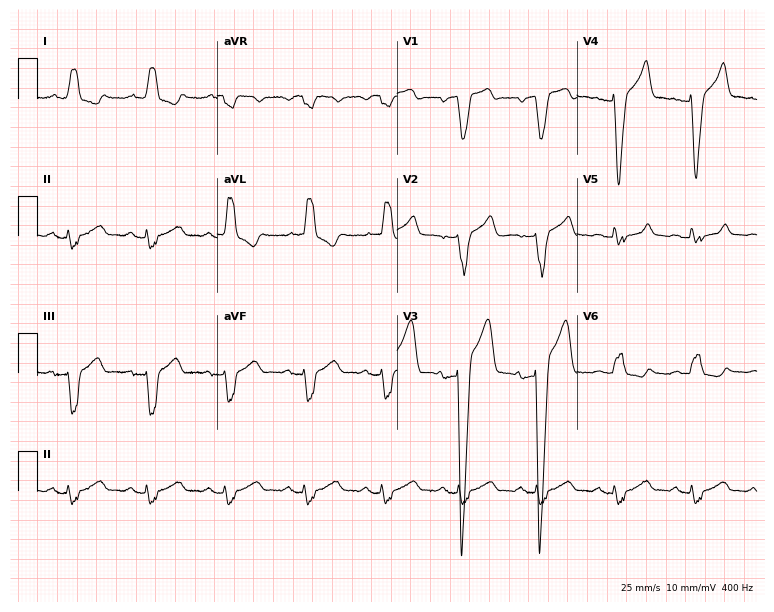
Resting 12-lead electrocardiogram (7.3-second recording at 400 Hz). Patient: a male, 67 years old. The tracing shows left bundle branch block.